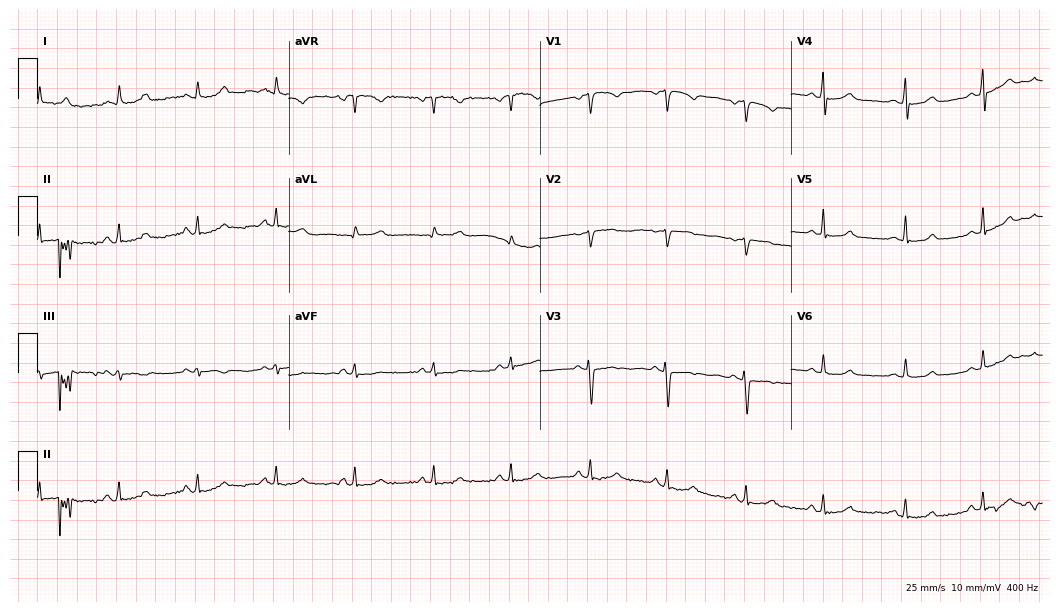
Resting 12-lead electrocardiogram. Patient: a female, 39 years old. Read as a normal ECG.